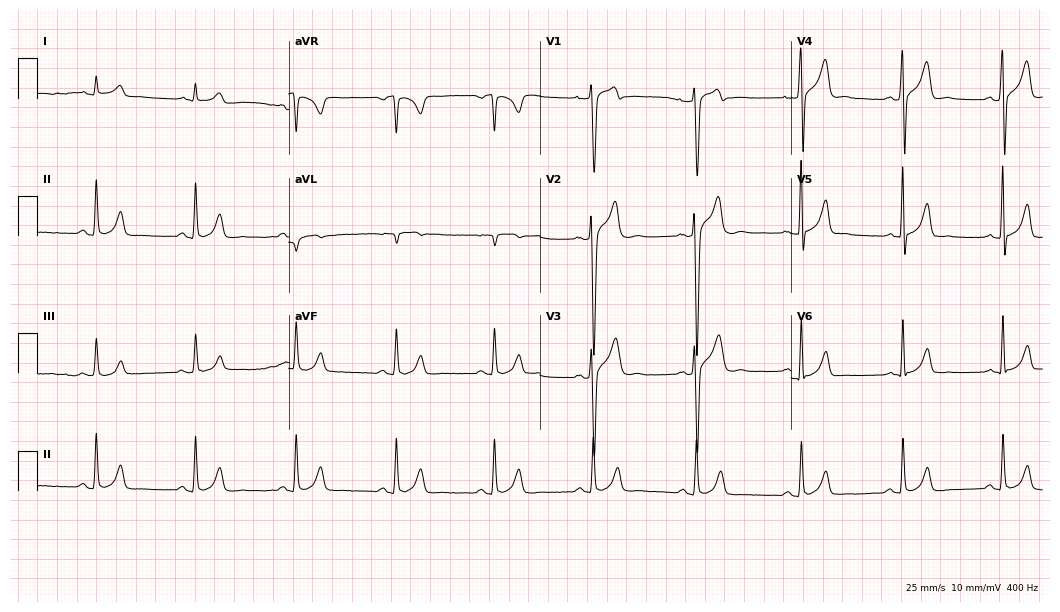
Standard 12-lead ECG recorded from a 26-year-old male. Read as a normal ECG.